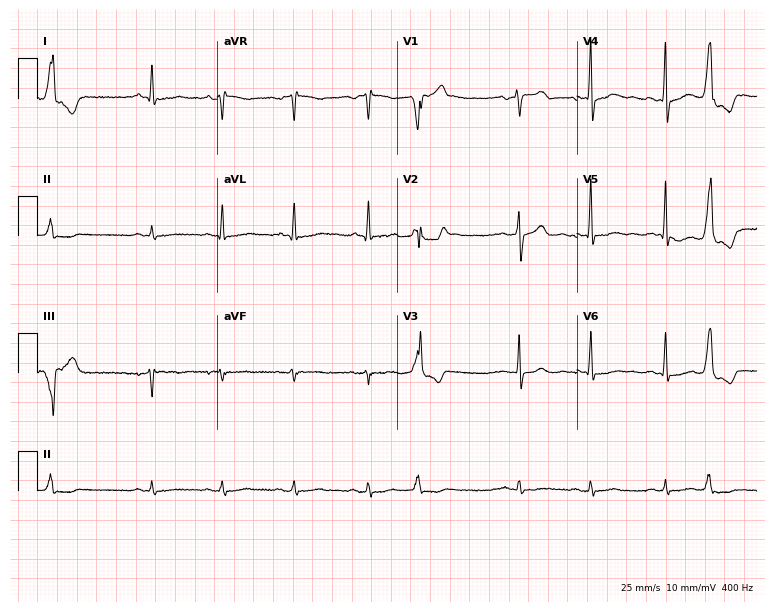
Standard 12-lead ECG recorded from a male patient, 65 years old. None of these six findings is recorded: first-degree AV block, right bundle branch block, left bundle branch block, sinus bradycardia, atrial fibrillation, sinus tachycardia. Other findings, if any, are not listed.